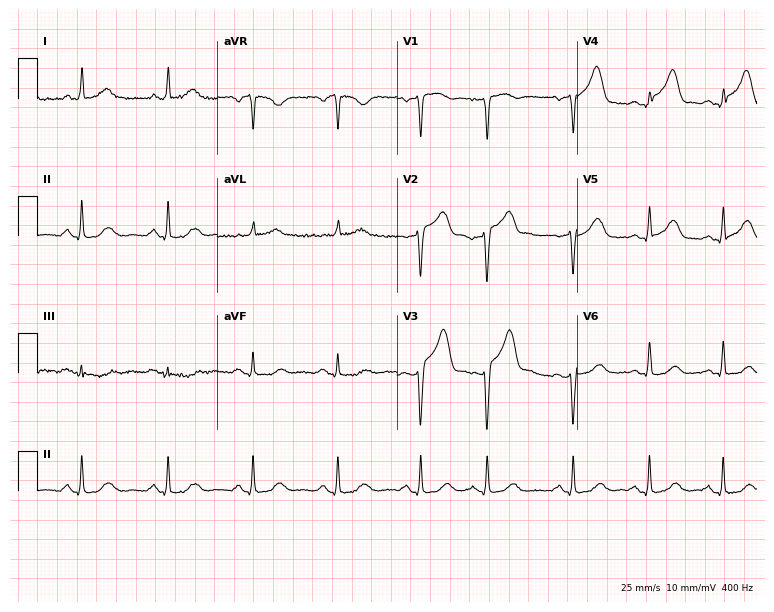
12-lead ECG (7.3-second recording at 400 Hz) from a 59-year-old female. Screened for six findings — first-degree AV block, right bundle branch block, left bundle branch block, sinus bradycardia, atrial fibrillation, sinus tachycardia — none is recorded.